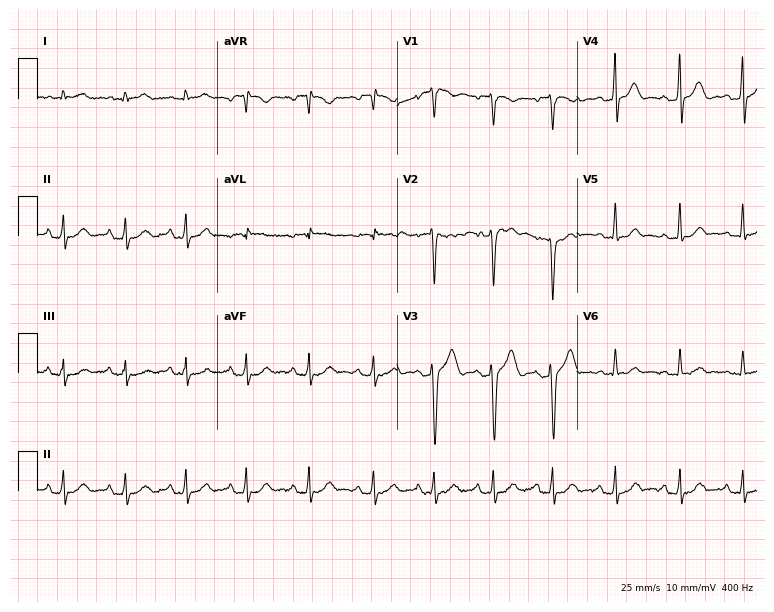
Electrocardiogram, a 22-year-old male. Overall reading on record: normal ECG.